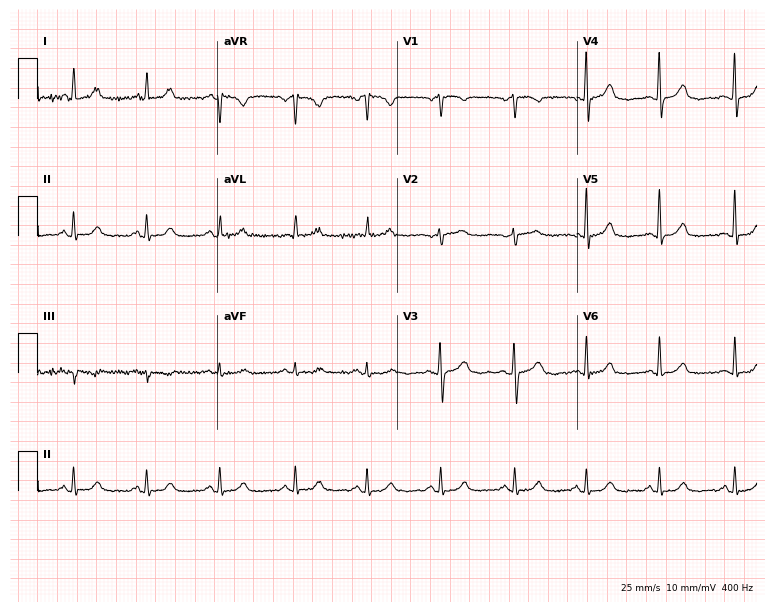
Electrocardiogram, a female patient, 54 years old. Overall reading on record: normal ECG.